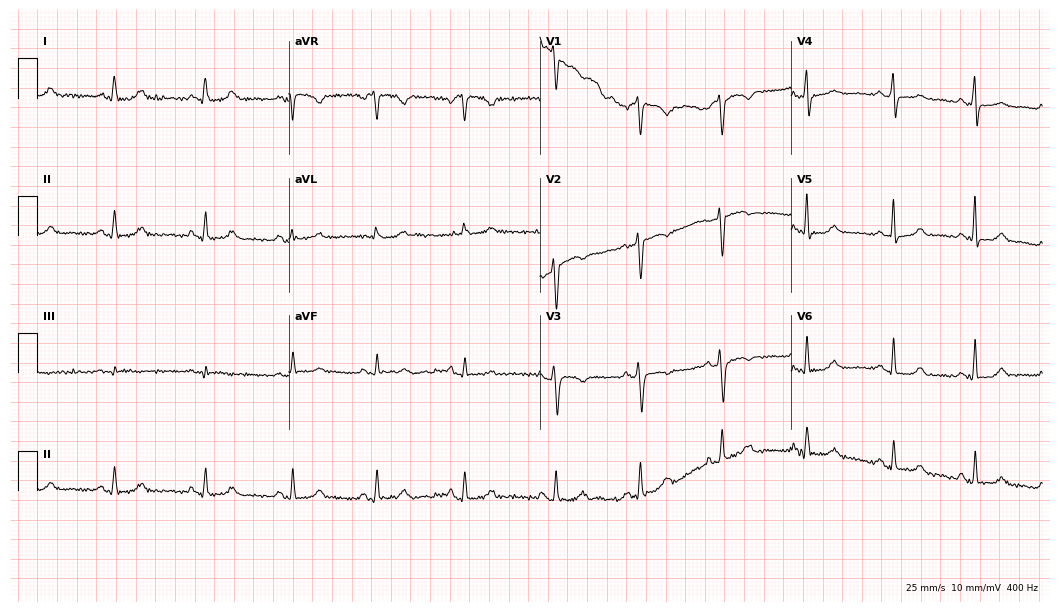
ECG — a female, 56 years old. Screened for six findings — first-degree AV block, right bundle branch block (RBBB), left bundle branch block (LBBB), sinus bradycardia, atrial fibrillation (AF), sinus tachycardia — none is recorded.